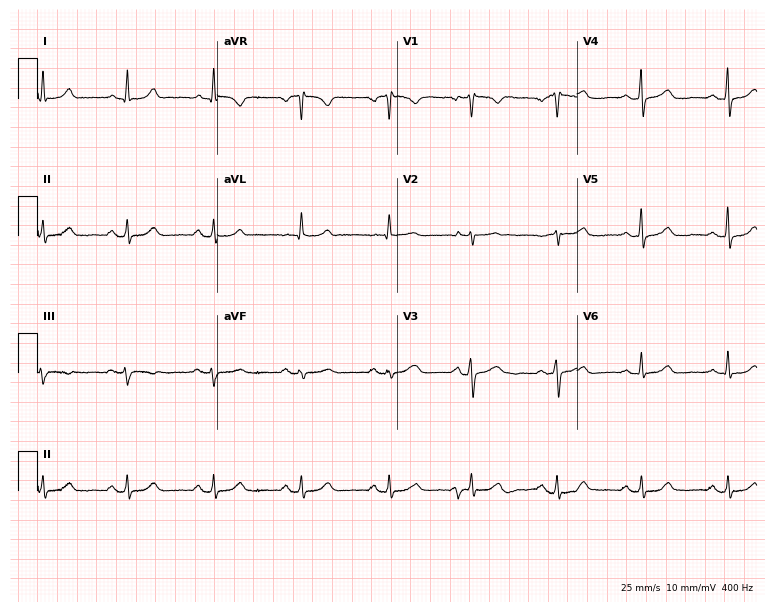
12-lead ECG from a woman, 56 years old (7.3-second recording at 400 Hz). Recorded interpretation: within normal limits.